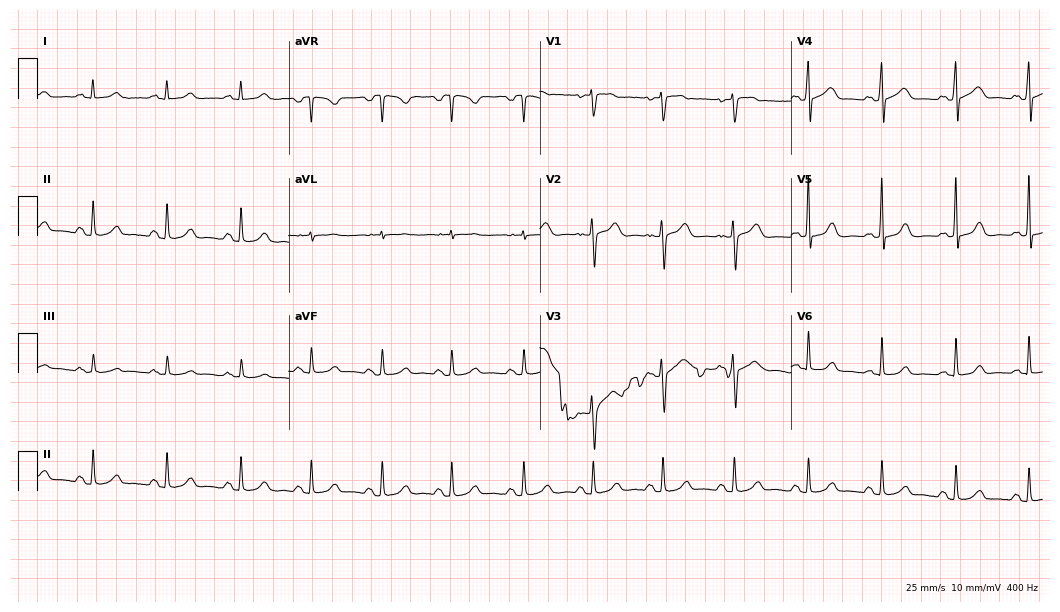
Electrocardiogram, a female, 28 years old. Of the six screened findings (first-degree AV block, right bundle branch block (RBBB), left bundle branch block (LBBB), sinus bradycardia, atrial fibrillation (AF), sinus tachycardia), none is recorded. Other findings, if any, are not listed.